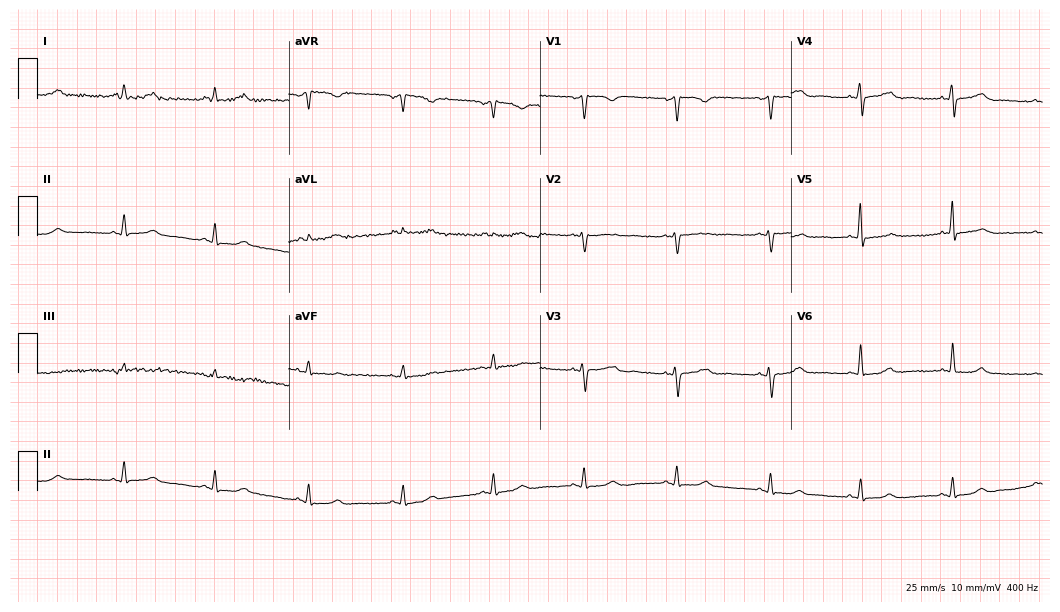
12-lead ECG from a 46-year-old woman. No first-degree AV block, right bundle branch block, left bundle branch block, sinus bradycardia, atrial fibrillation or sinus tachycardia recorded for this tracing. Only these six findings were labelled.